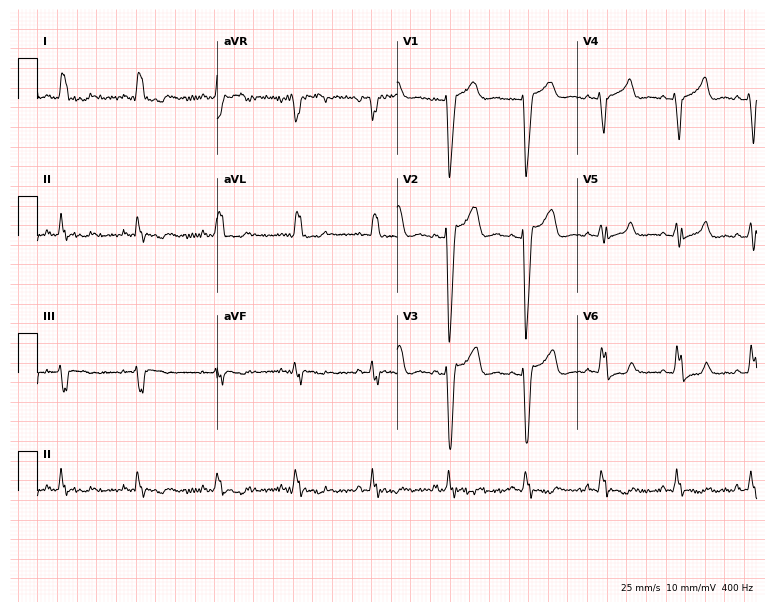
Electrocardiogram (7.3-second recording at 400 Hz), a 44-year-old female. Interpretation includes left bundle branch block.